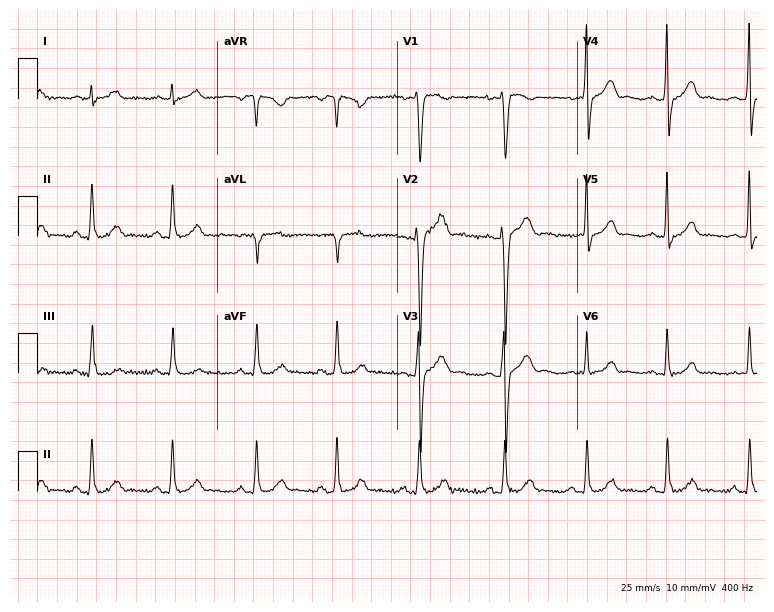
ECG (7.3-second recording at 400 Hz) — a 28-year-old man. Labelled as a normal ECG.